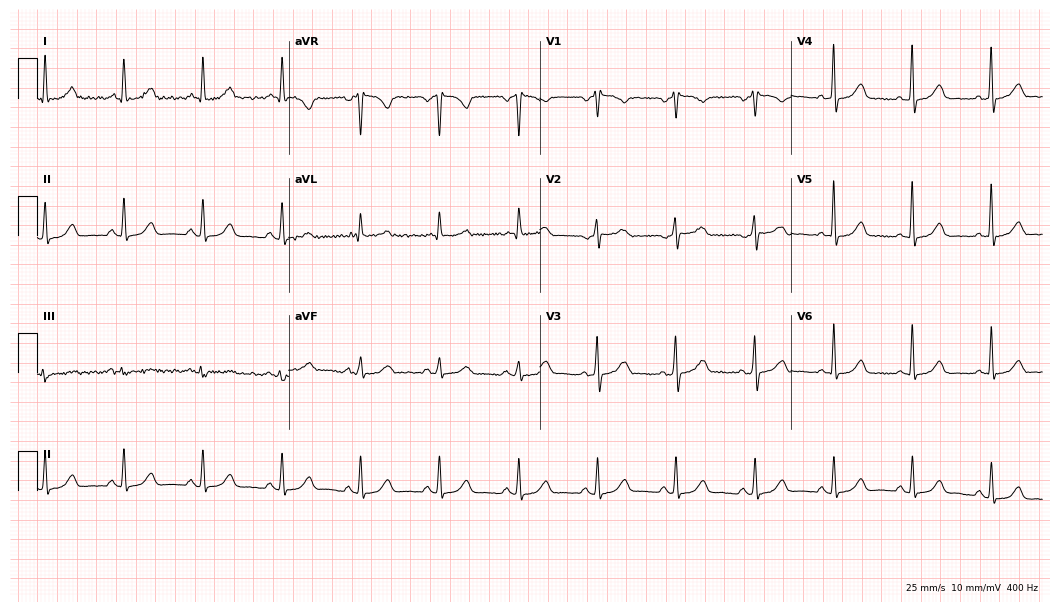
Resting 12-lead electrocardiogram (10.2-second recording at 400 Hz). Patient: a female, 61 years old. None of these six findings is recorded: first-degree AV block, right bundle branch block (RBBB), left bundle branch block (LBBB), sinus bradycardia, atrial fibrillation (AF), sinus tachycardia.